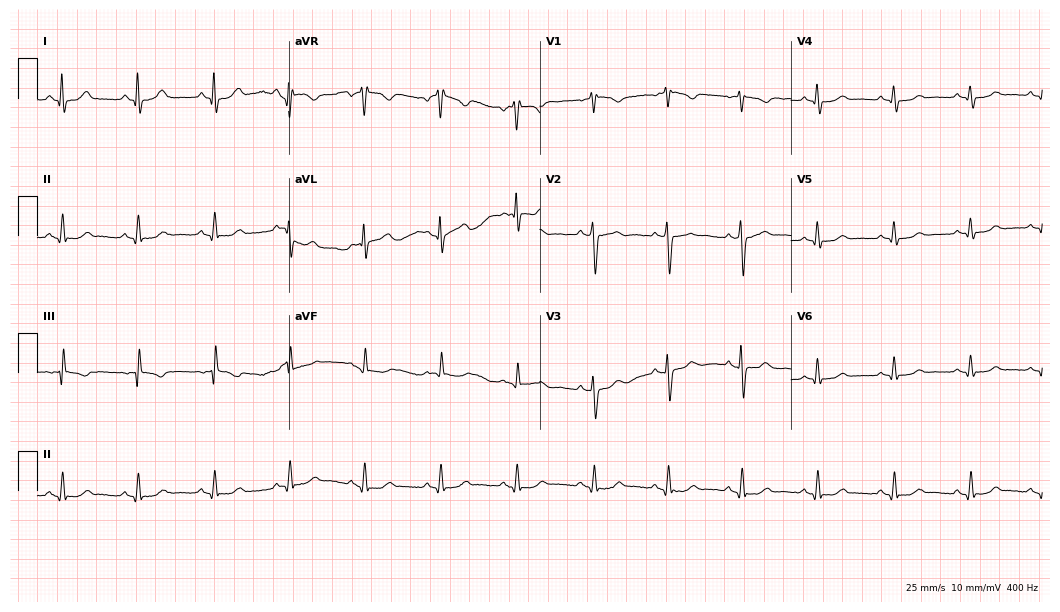
Resting 12-lead electrocardiogram. Patient: a female, 53 years old. Read as a normal ECG.